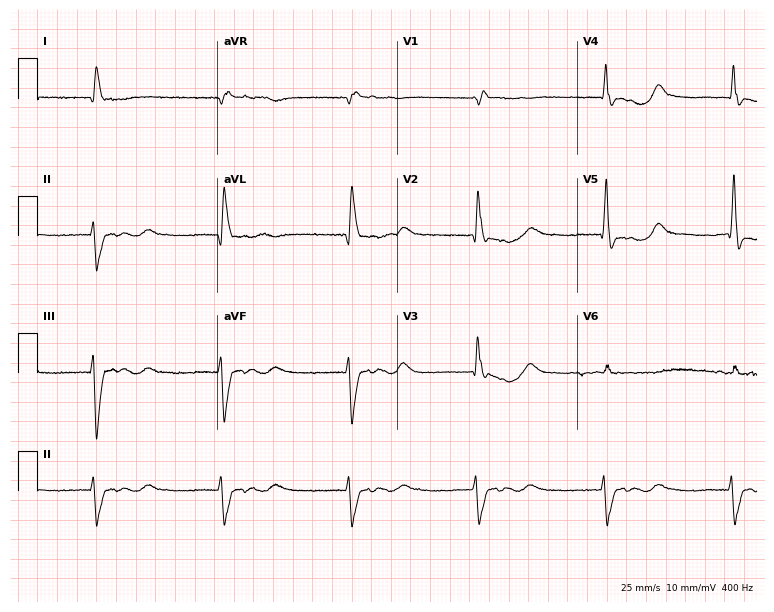
ECG (7.3-second recording at 400 Hz) — an 83-year-old woman. Findings include right bundle branch block.